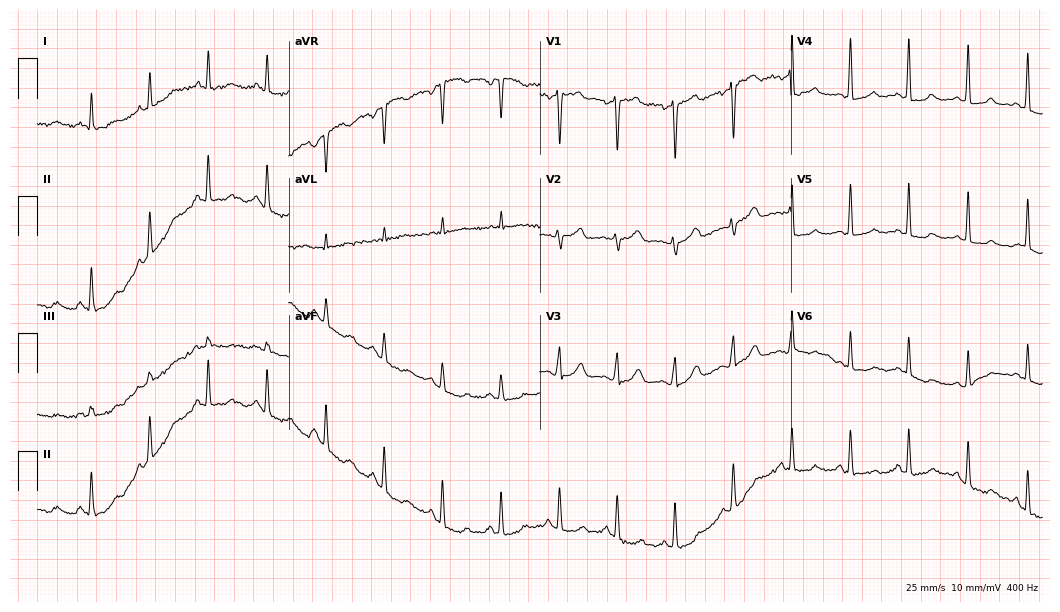
ECG (10.2-second recording at 400 Hz) — a 53-year-old female. Labelled as a normal ECG.